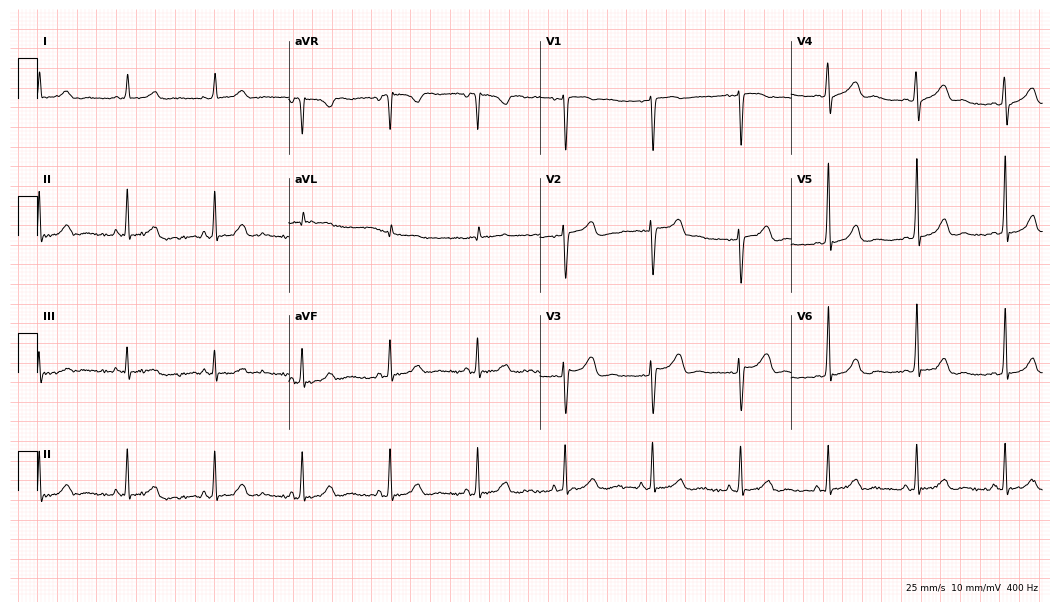
Electrocardiogram, a female, 53 years old. Overall reading on record: normal ECG.